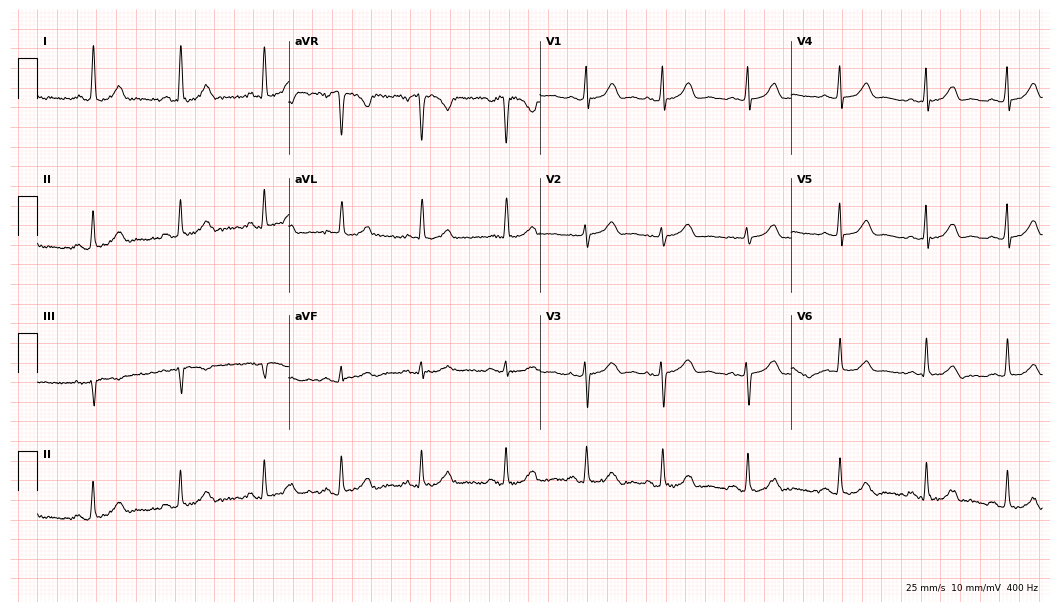
Standard 12-lead ECG recorded from a female, 48 years old (10.2-second recording at 400 Hz). Read as a normal ECG.